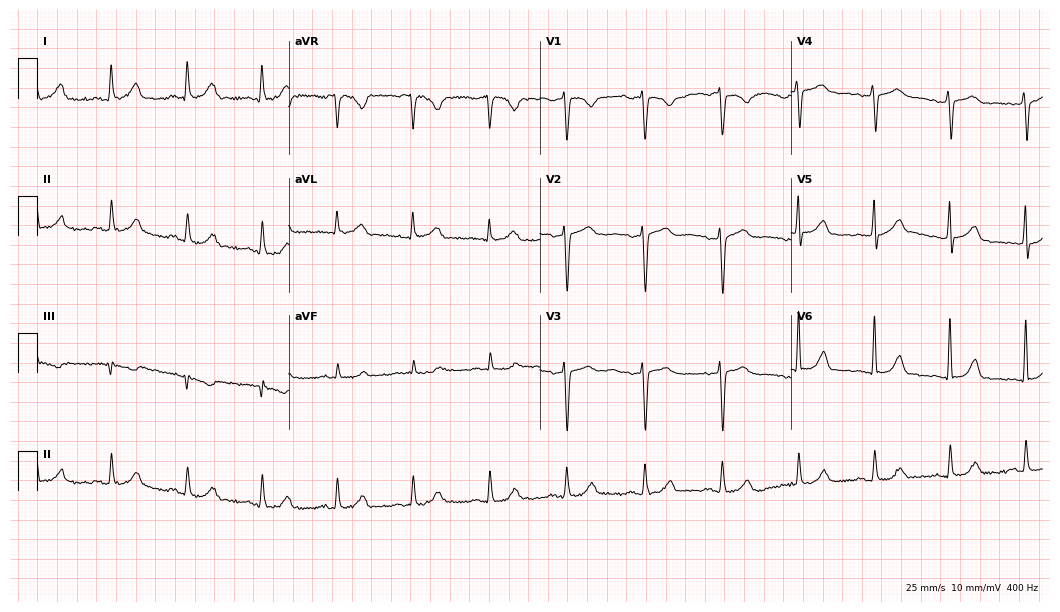
Resting 12-lead electrocardiogram. Patient: a female, 42 years old. Read as a normal ECG.